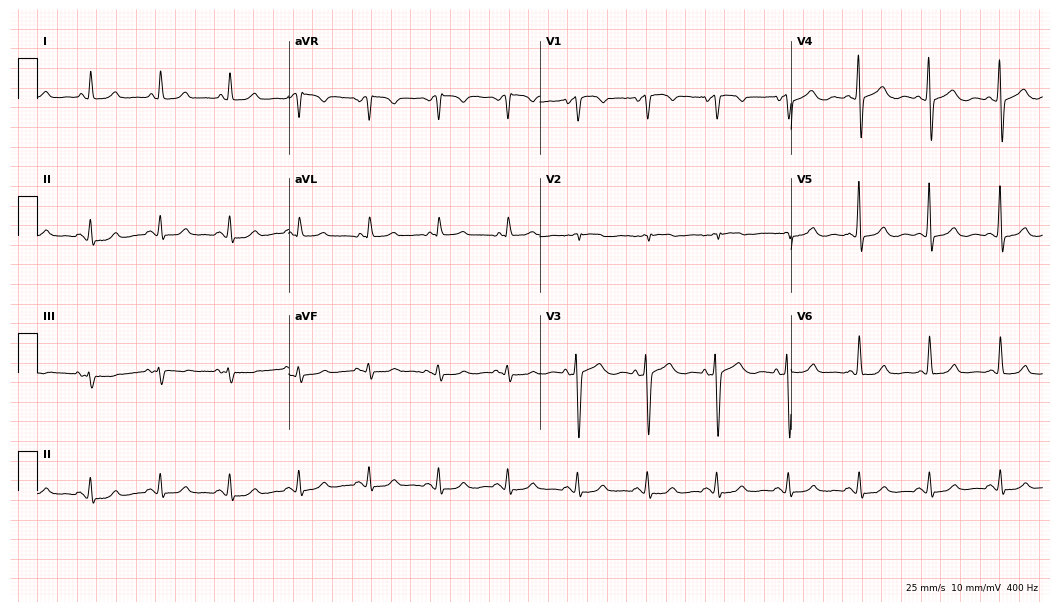
12-lead ECG from a woman, 64 years old. Screened for six findings — first-degree AV block, right bundle branch block (RBBB), left bundle branch block (LBBB), sinus bradycardia, atrial fibrillation (AF), sinus tachycardia — none is recorded.